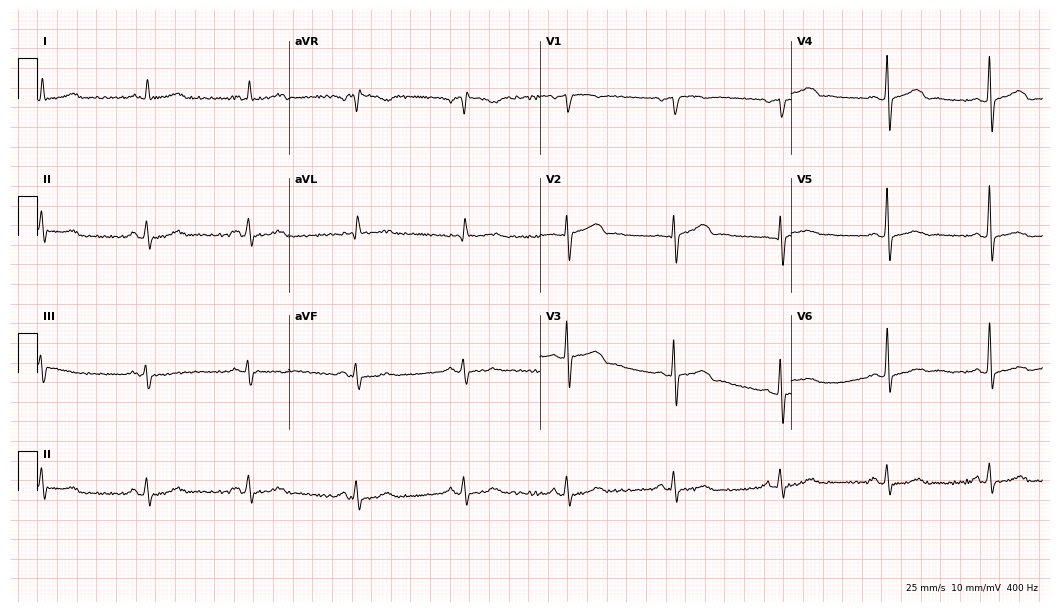
Standard 12-lead ECG recorded from a woman, 74 years old. None of these six findings is recorded: first-degree AV block, right bundle branch block (RBBB), left bundle branch block (LBBB), sinus bradycardia, atrial fibrillation (AF), sinus tachycardia.